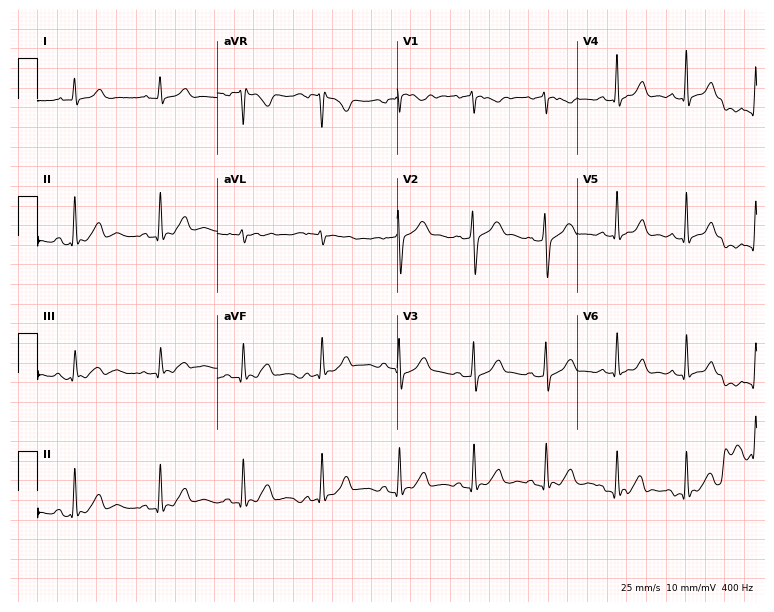
ECG — a female patient, 34 years old. Screened for six findings — first-degree AV block, right bundle branch block, left bundle branch block, sinus bradycardia, atrial fibrillation, sinus tachycardia — none is recorded.